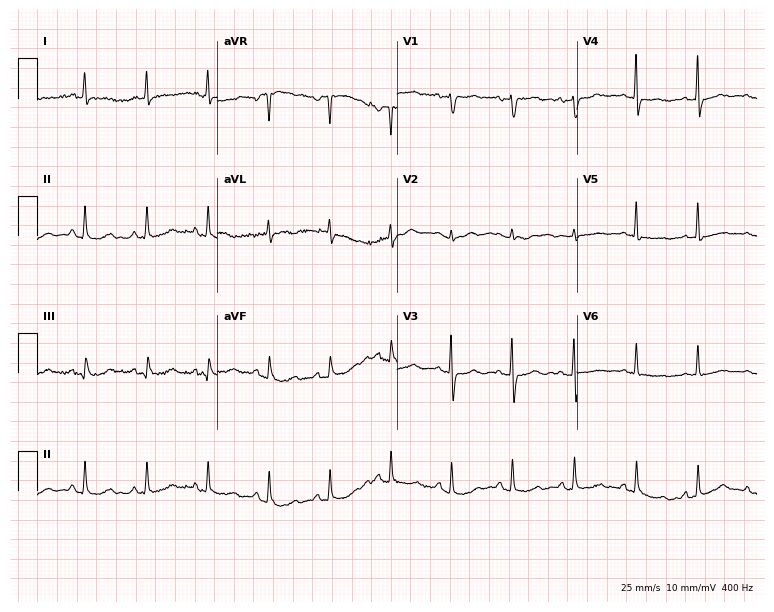
12-lead ECG from a female patient, 85 years old. No first-degree AV block, right bundle branch block, left bundle branch block, sinus bradycardia, atrial fibrillation or sinus tachycardia recorded for this tracing.